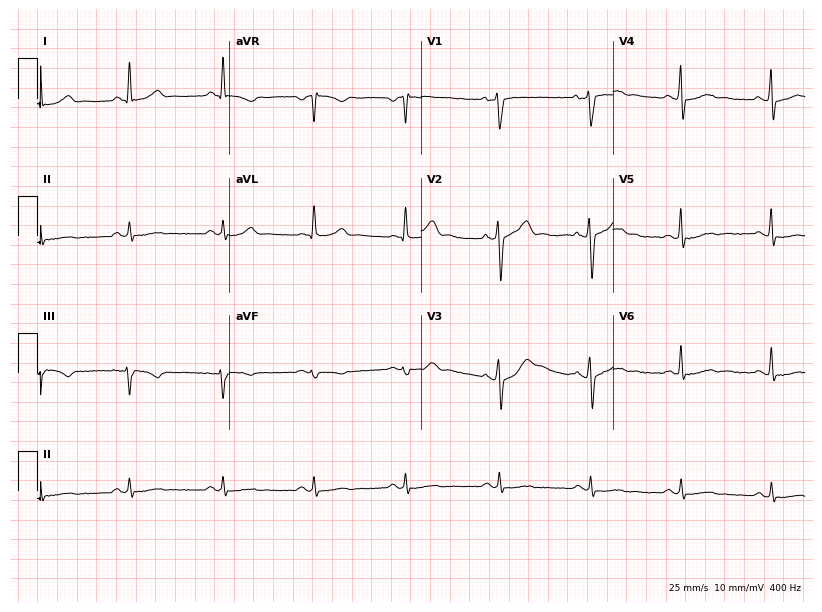
Electrocardiogram, a 61-year-old man. Of the six screened findings (first-degree AV block, right bundle branch block, left bundle branch block, sinus bradycardia, atrial fibrillation, sinus tachycardia), none is recorded.